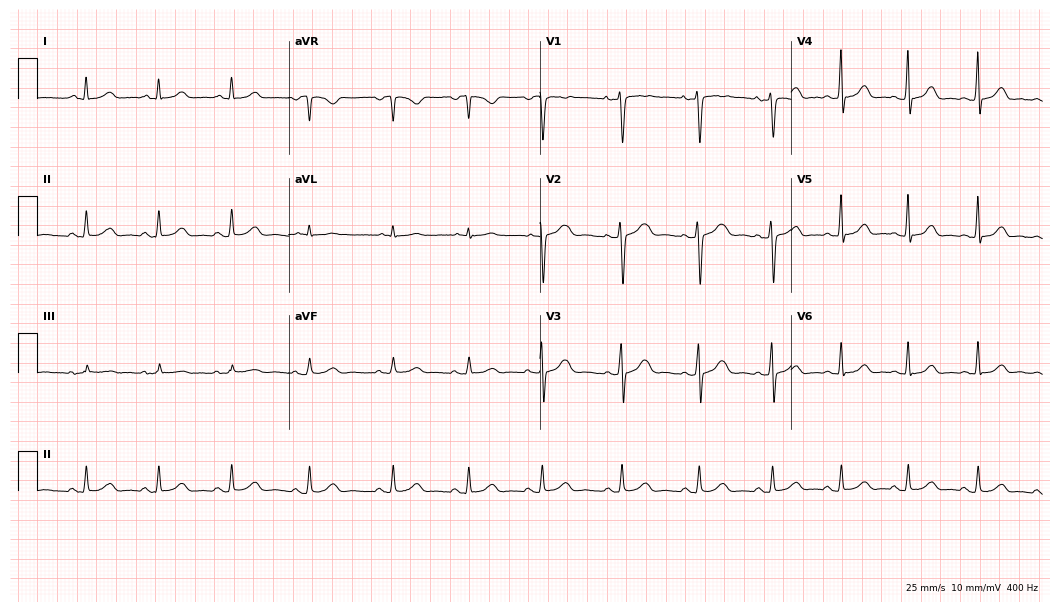
Standard 12-lead ECG recorded from a female, 31 years old (10.2-second recording at 400 Hz). Read as a normal ECG.